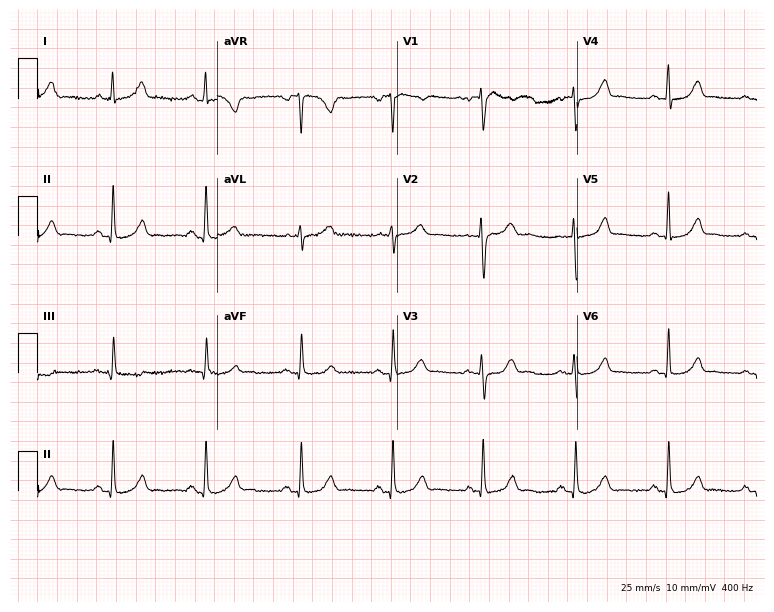
Electrocardiogram, a female patient, 44 years old. Of the six screened findings (first-degree AV block, right bundle branch block (RBBB), left bundle branch block (LBBB), sinus bradycardia, atrial fibrillation (AF), sinus tachycardia), none is recorded.